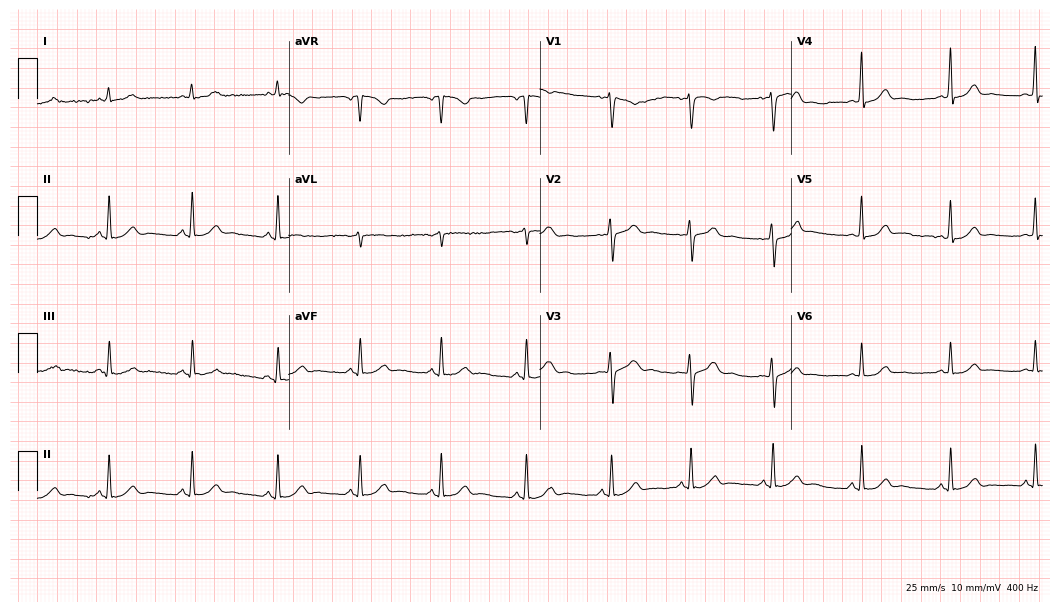
12-lead ECG (10.2-second recording at 400 Hz) from a female patient, 21 years old. Labelled as a normal ECG.